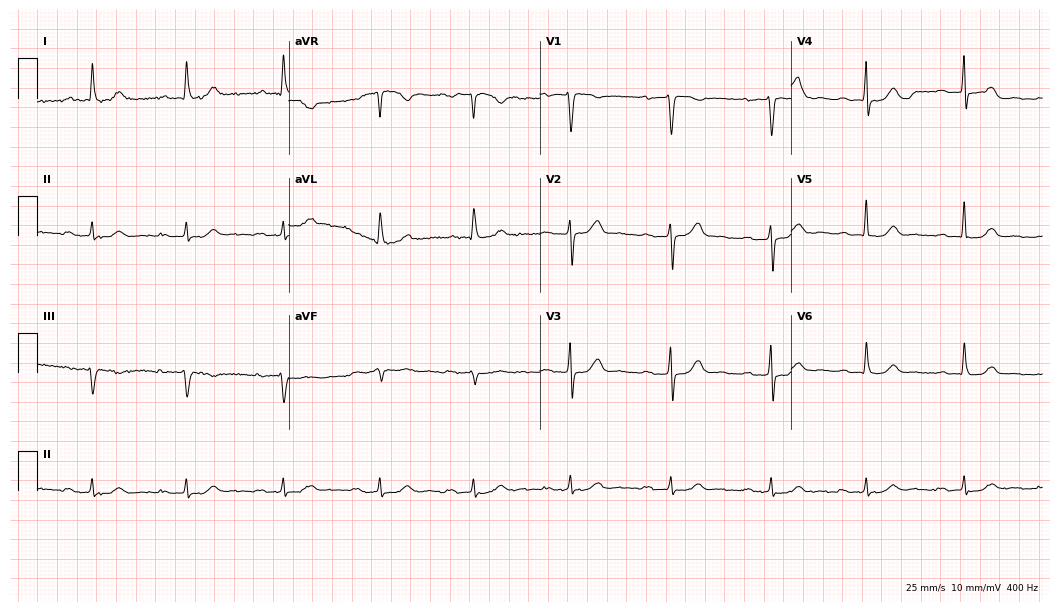
ECG (10.2-second recording at 400 Hz) — a male, 64 years old. Findings include first-degree AV block.